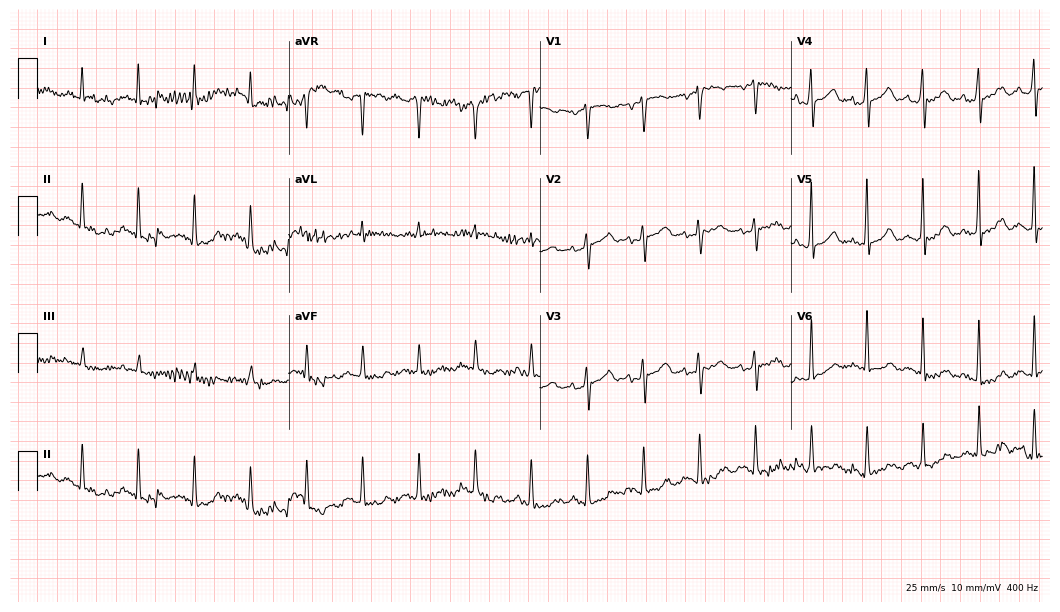
Electrocardiogram, a male, 79 years old. Of the six screened findings (first-degree AV block, right bundle branch block, left bundle branch block, sinus bradycardia, atrial fibrillation, sinus tachycardia), none is recorded.